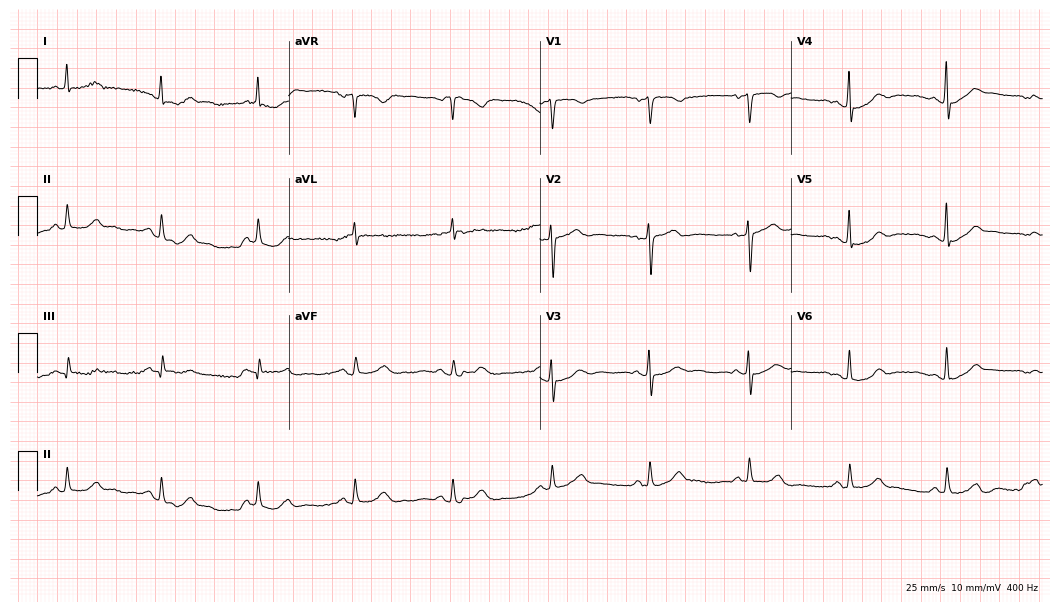
12-lead ECG from a woman, 64 years old. Labelled as a normal ECG.